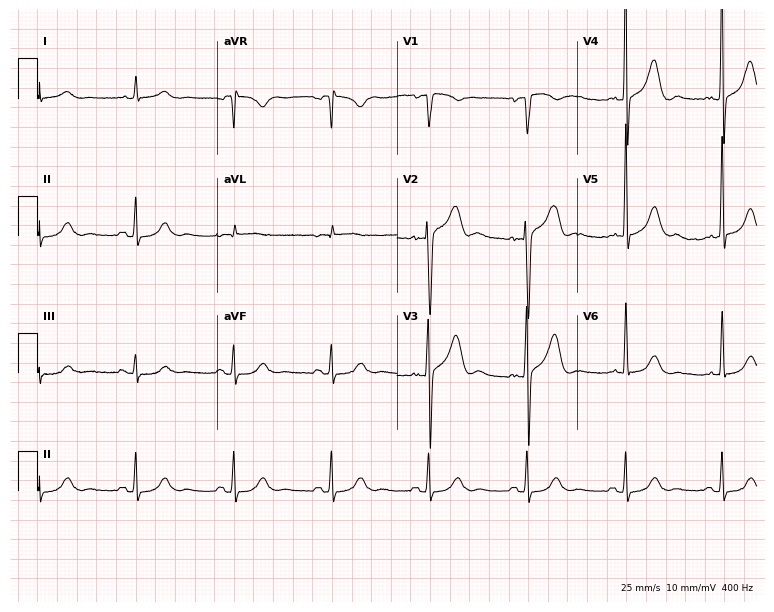
Standard 12-lead ECG recorded from an 81-year-old male patient (7.3-second recording at 400 Hz). None of these six findings is recorded: first-degree AV block, right bundle branch block, left bundle branch block, sinus bradycardia, atrial fibrillation, sinus tachycardia. Findings outside these six are not listed.